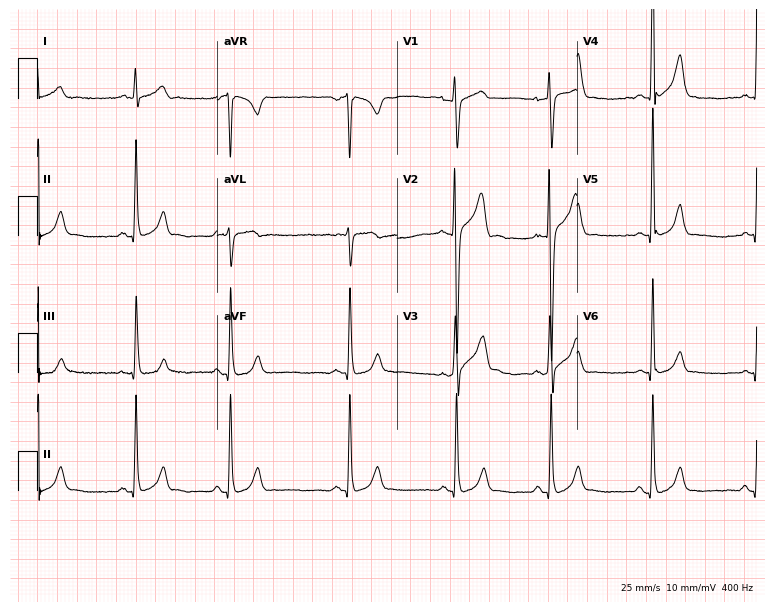
Electrocardiogram (7.3-second recording at 400 Hz), a 17-year-old male patient. Overall reading on record: normal ECG.